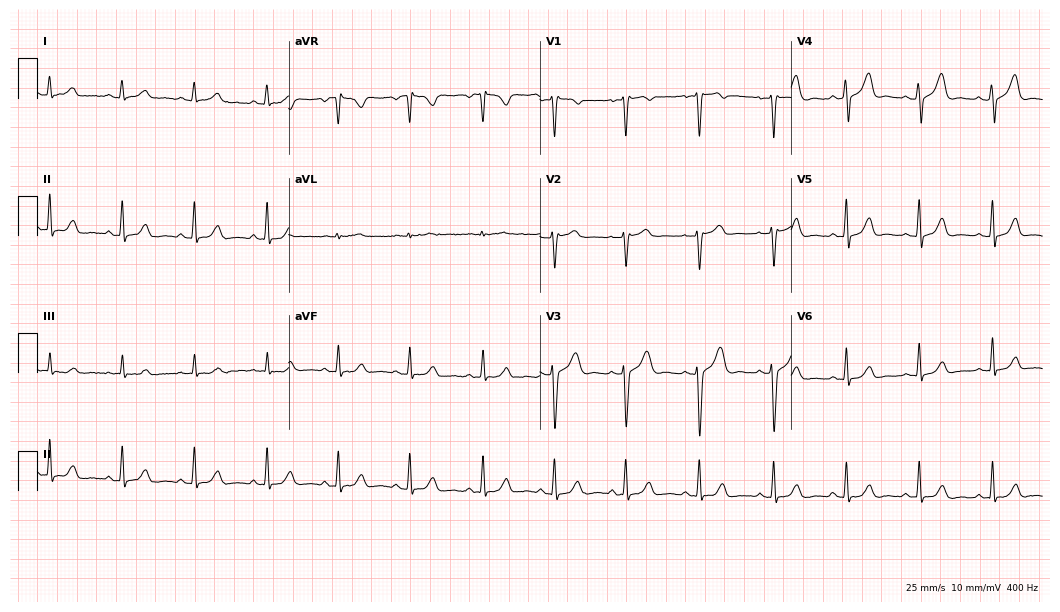
Standard 12-lead ECG recorded from a 39-year-old female patient (10.2-second recording at 400 Hz). None of these six findings is recorded: first-degree AV block, right bundle branch block, left bundle branch block, sinus bradycardia, atrial fibrillation, sinus tachycardia. Findings outside these six are not listed.